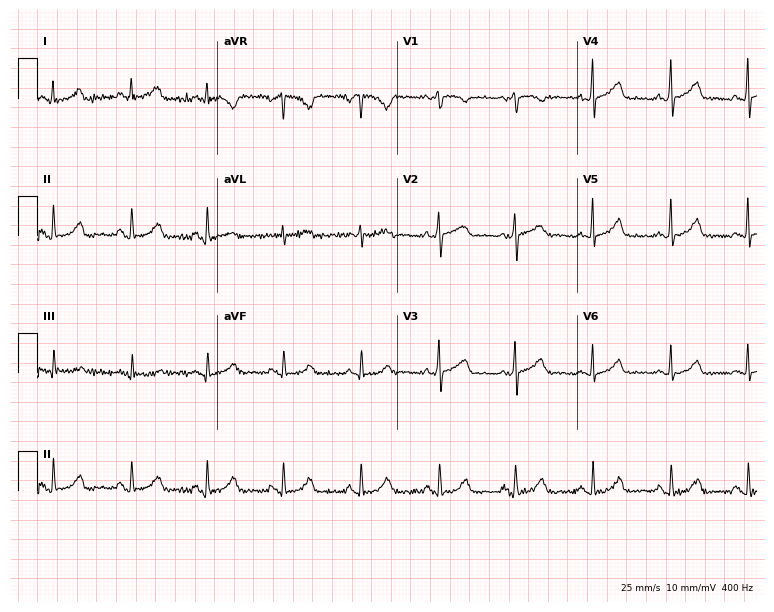
Resting 12-lead electrocardiogram. Patient: a 42-year-old female. None of these six findings is recorded: first-degree AV block, right bundle branch block, left bundle branch block, sinus bradycardia, atrial fibrillation, sinus tachycardia. Other findings, if any, are not listed.